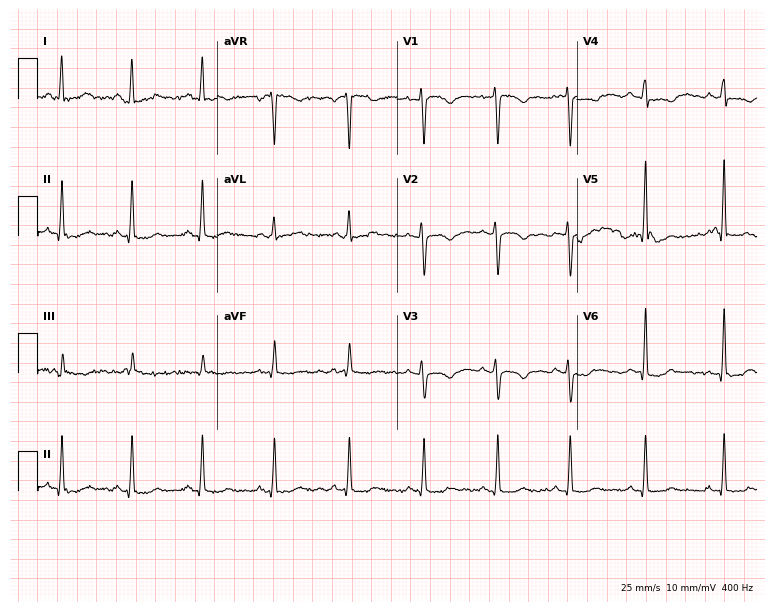
ECG (7.3-second recording at 400 Hz) — a 27-year-old woman. Screened for six findings — first-degree AV block, right bundle branch block, left bundle branch block, sinus bradycardia, atrial fibrillation, sinus tachycardia — none is recorded.